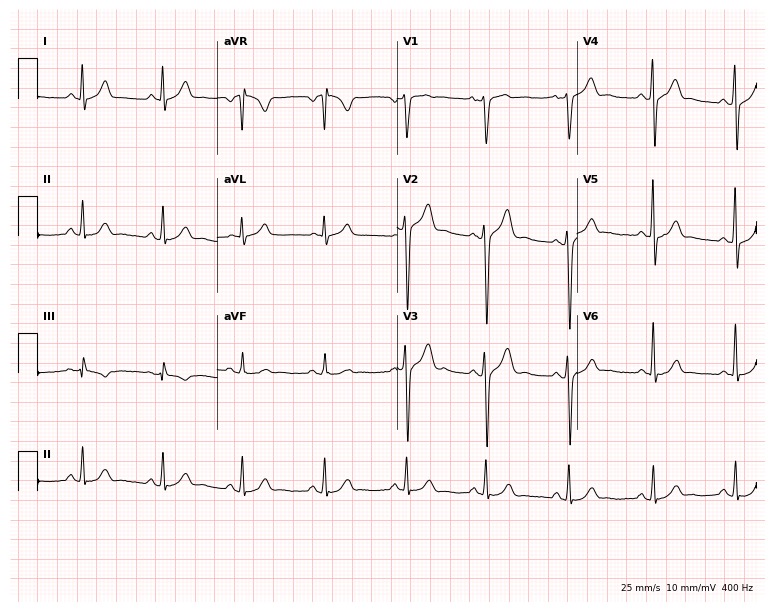
Electrocardiogram (7.3-second recording at 400 Hz), a 30-year-old man. Of the six screened findings (first-degree AV block, right bundle branch block, left bundle branch block, sinus bradycardia, atrial fibrillation, sinus tachycardia), none is recorded.